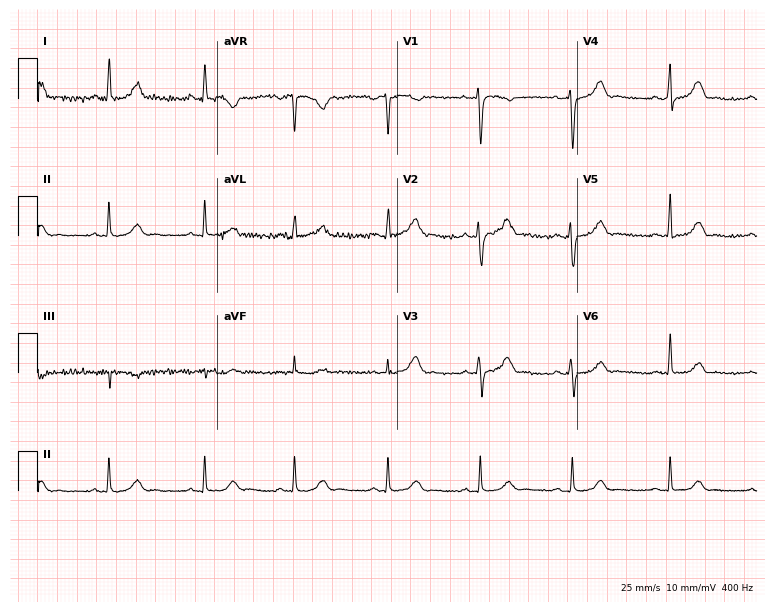
Electrocardiogram, a 43-year-old female patient. Overall reading on record: normal ECG.